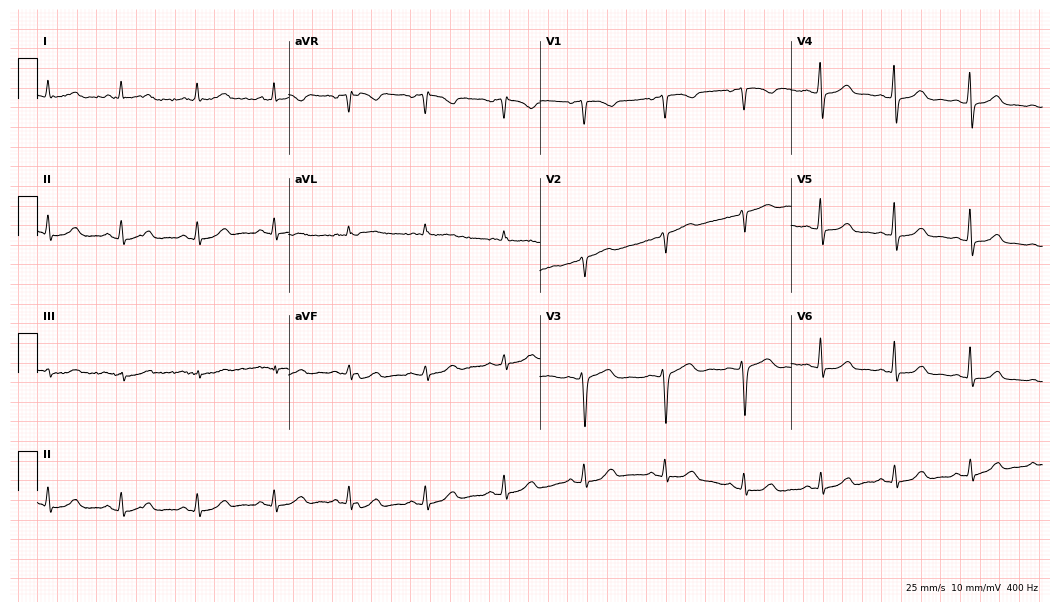
12-lead ECG (10.2-second recording at 400 Hz) from a 45-year-old woman. Labelled as a normal ECG.